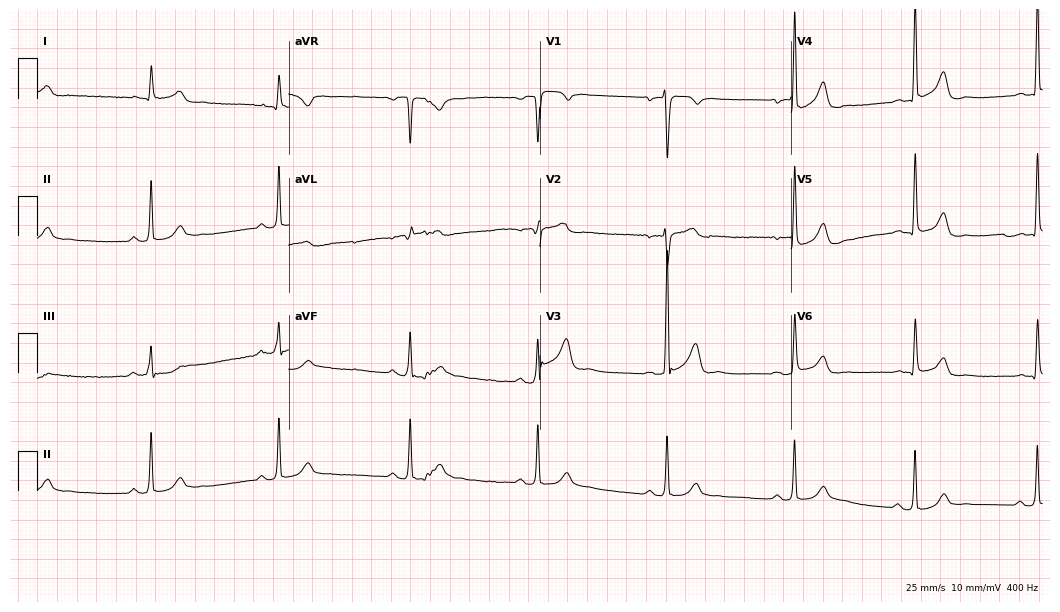
12-lead ECG from a 43-year-old man. Screened for six findings — first-degree AV block, right bundle branch block (RBBB), left bundle branch block (LBBB), sinus bradycardia, atrial fibrillation (AF), sinus tachycardia — none is recorded.